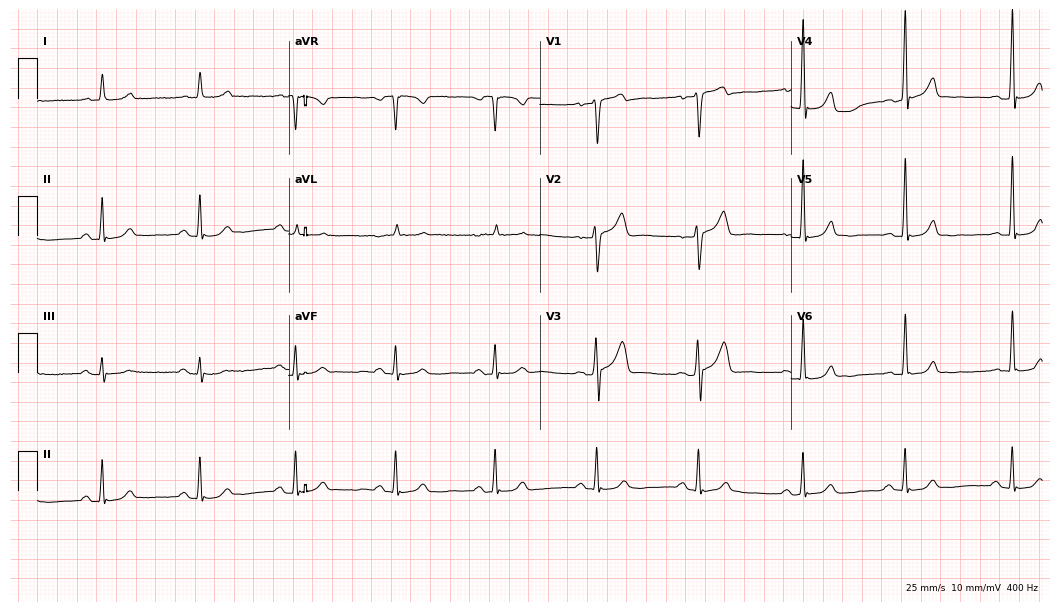
Resting 12-lead electrocardiogram (10.2-second recording at 400 Hz). Patient: a male, 54 years old. Read as a normal ECG.